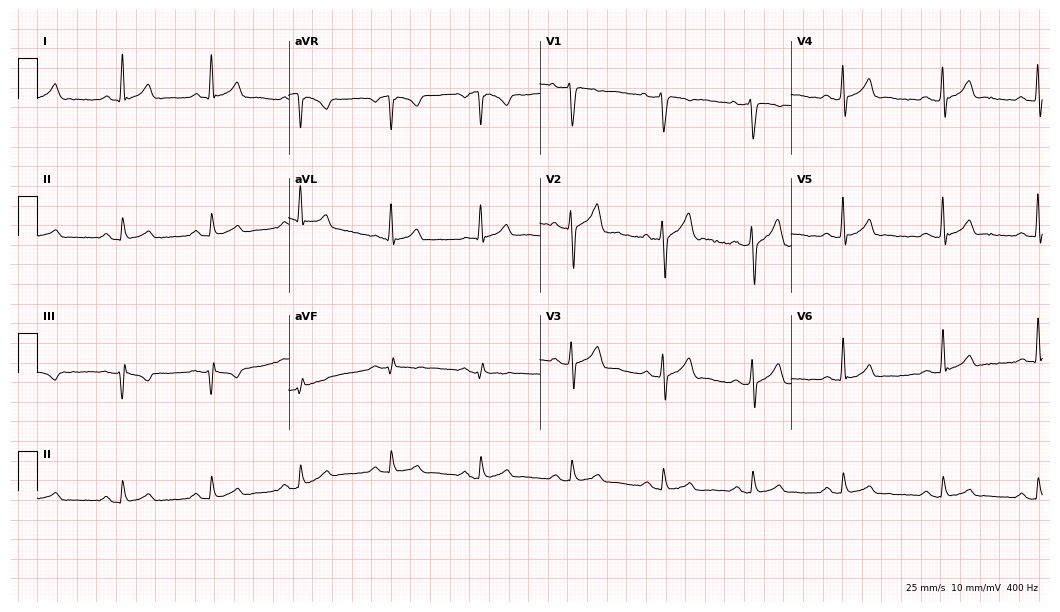
Electrocardiogram, a 58-year-old male. Overall reading on record: normal ECG.